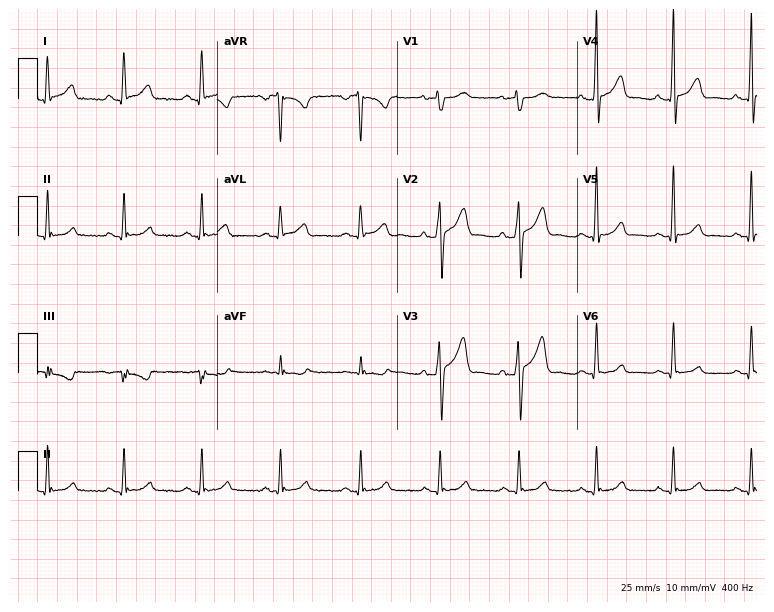
Standard 12-lead ECG recorded from a 57-year-old male patient. Read as a normal ECG.